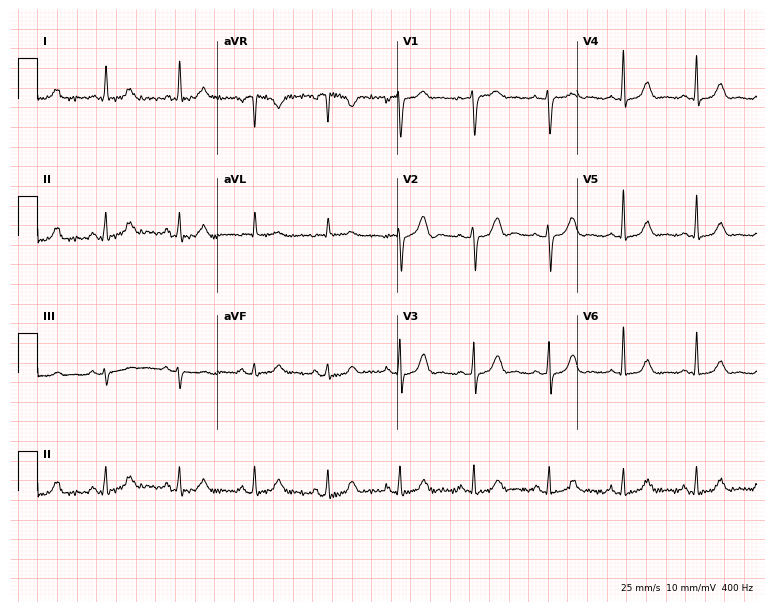
12-lead ECG from a woman, 70 years old. Labelled as a normal ECG.